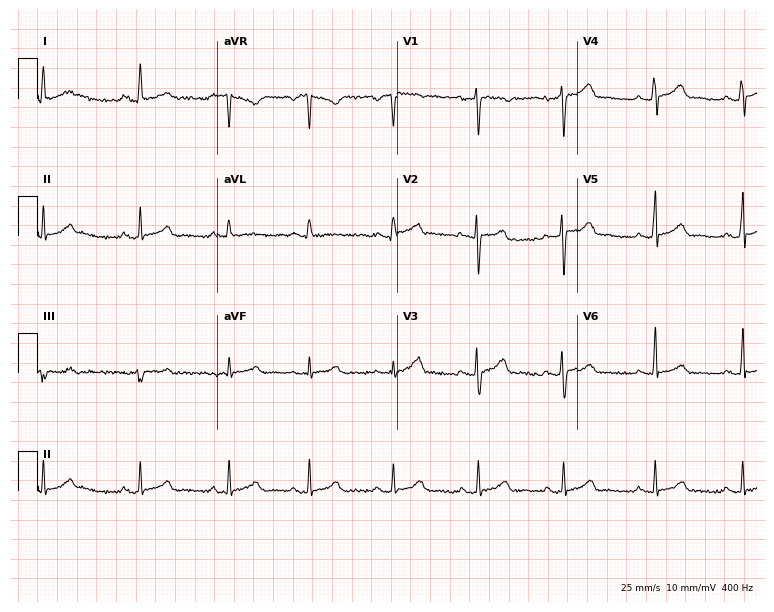
ECG — a woman, 33 years old. Labelled as a normal ECG.